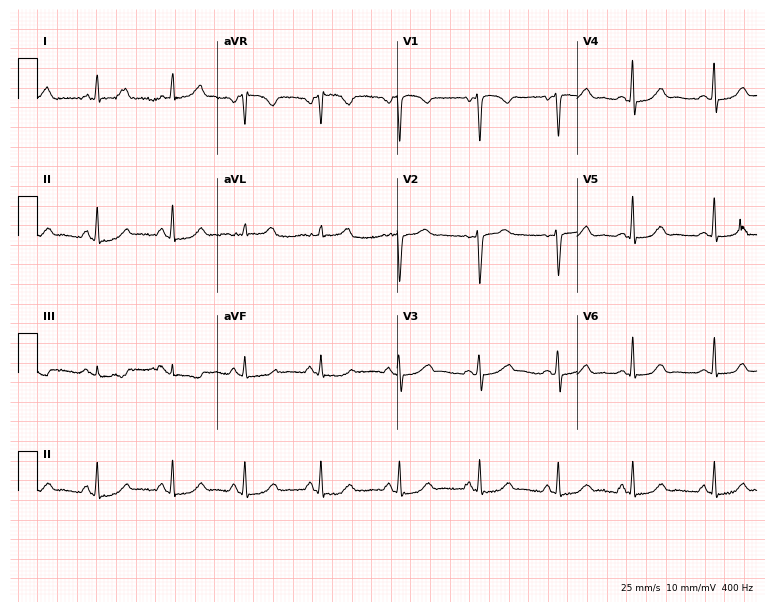
12-lead ECG from a woman, 31 years old (7.3-second recording at 400 Hz). Recorded interpretation: within normal limits.